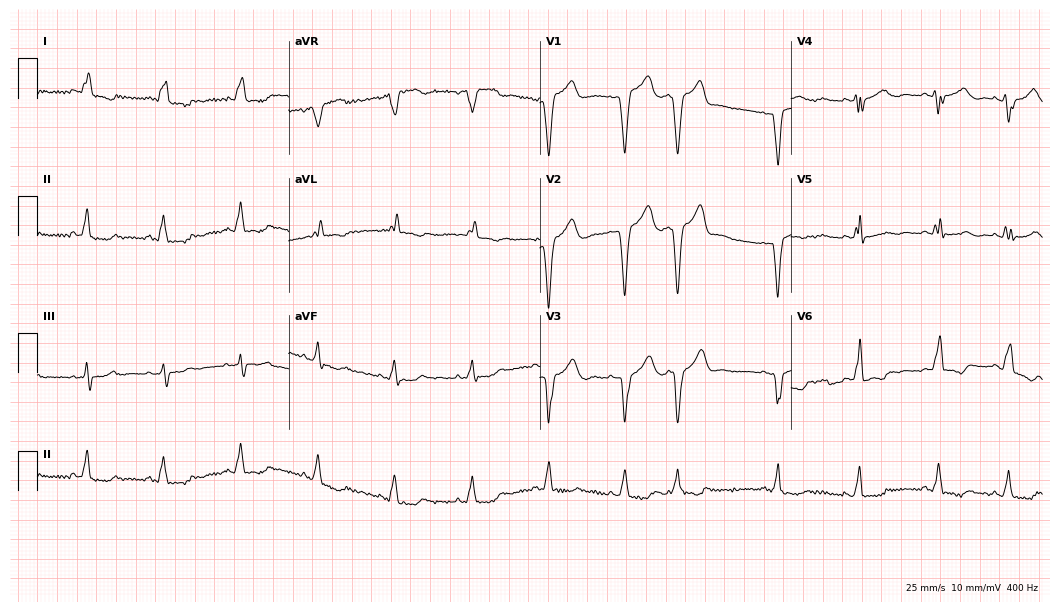
Standard 12-lead ECG recorded from a female, 79 years old (10.2-second recording at 400 Hz). The tracing shows left bundle branch block (LBBB).